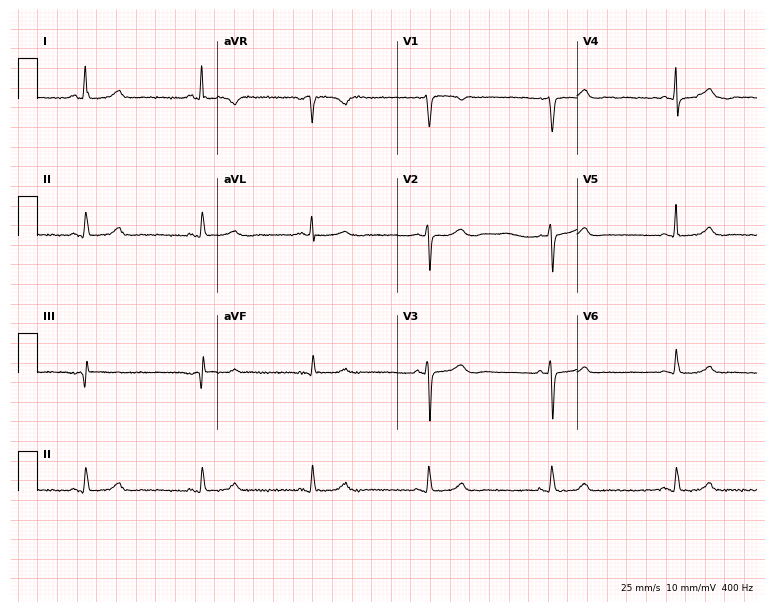
12-lead ECG from a woman, 75 years old. Recorded interpretation: within normal limits.